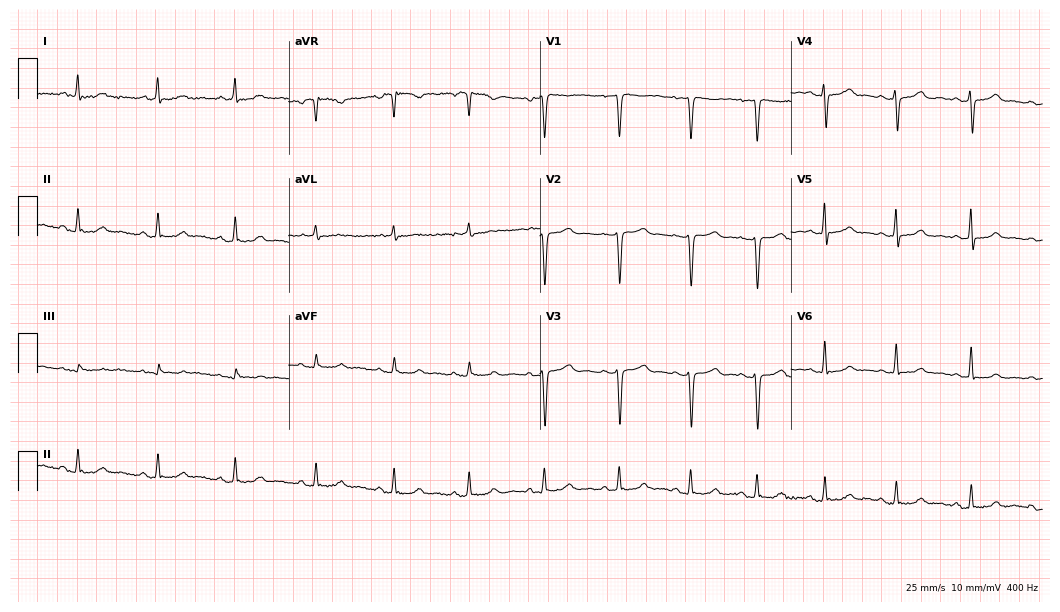
Electrocardiogram, a 45-year-old female. Overall reading on record: normal ECG.